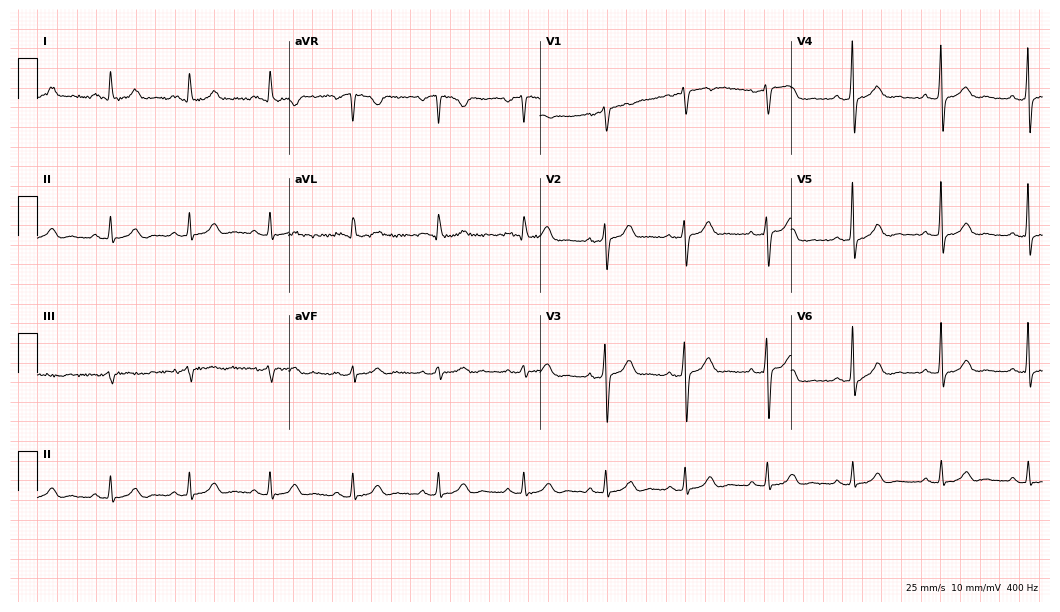
12-lead ECG from a female, 36 years old (10.2-second recording at 400 Hz). Recorded interpretation: within normal limits.